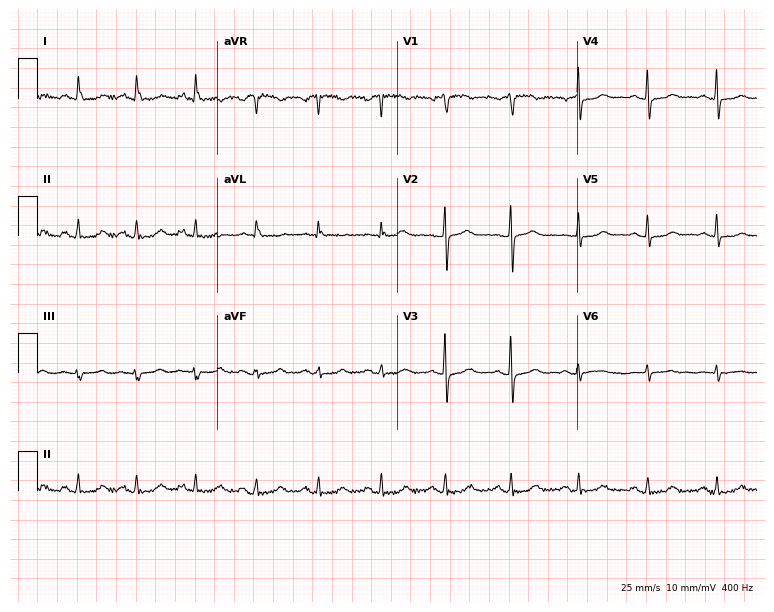
Resting 12-lead electrocardiogram. Patient: a 63-year-old female. Read as a normal ECG.